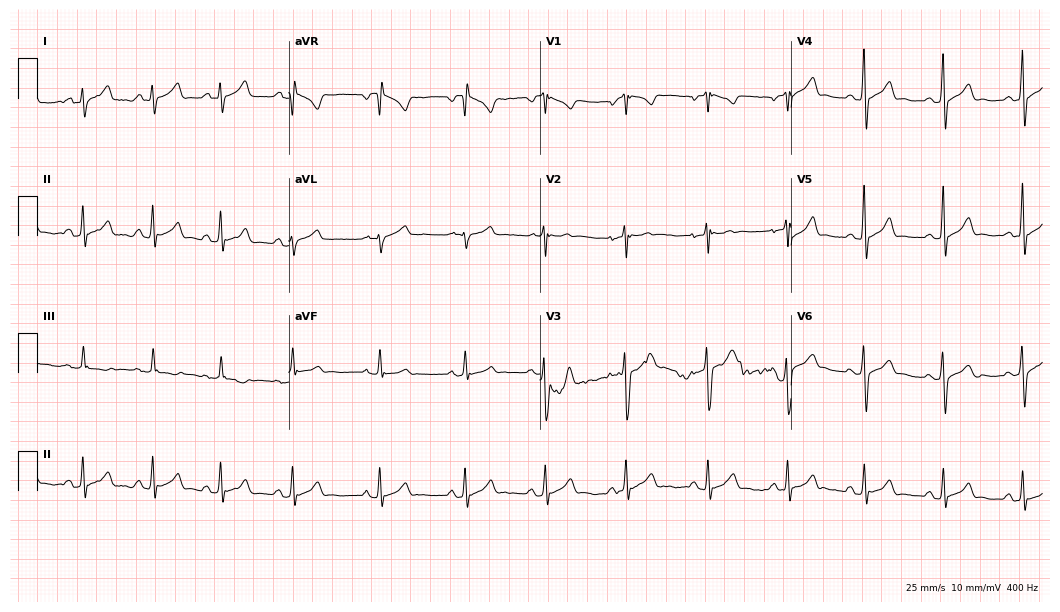
12-lead ECG from a 30-year-old male. Recorded interpretation: within normal limits.